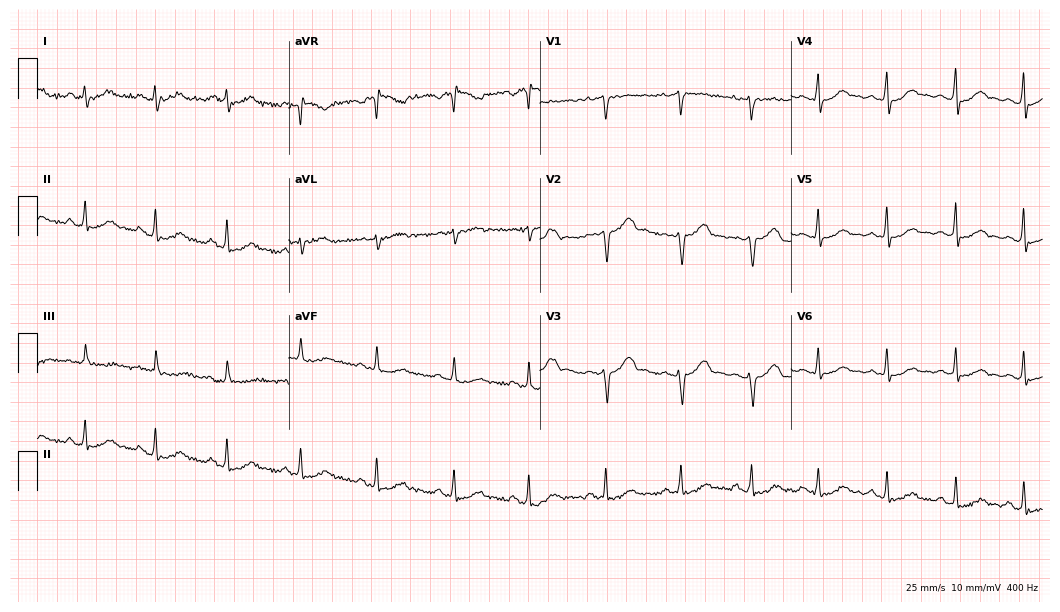
Electrocardiogram (10.2-second recording at 400 Hz), a female, 42 years old. Overall reading on record: normal ECG.